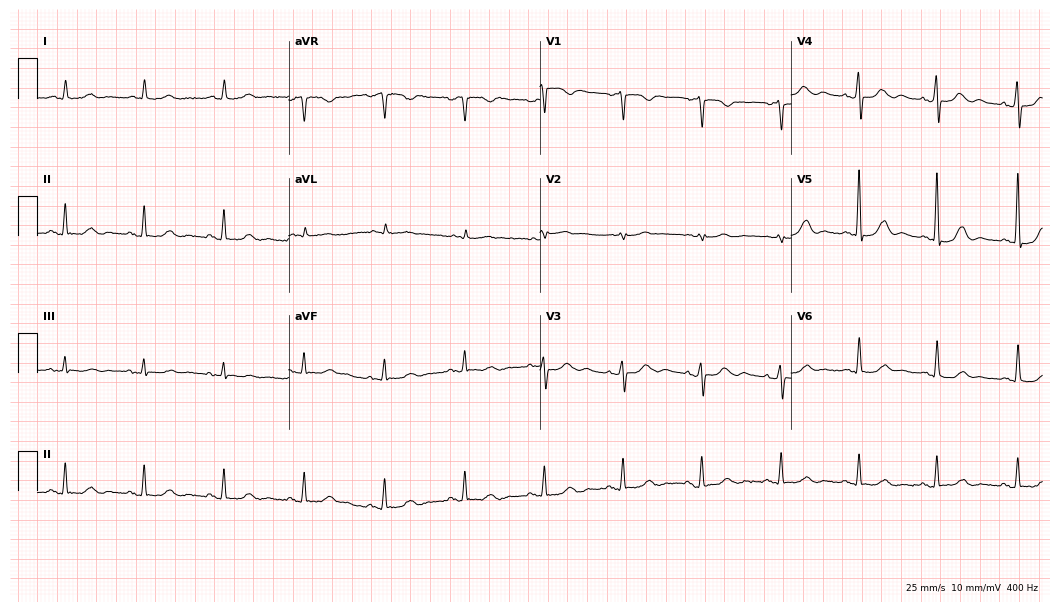
12-lead ECG from a man, 81 years old. No first-degree AV block, right bundle branch block, left bundle branch block, sinus bradycardia, atrial fibrillation or sinus tachycardia recorded for this tracing. Only these six findings were labelled.